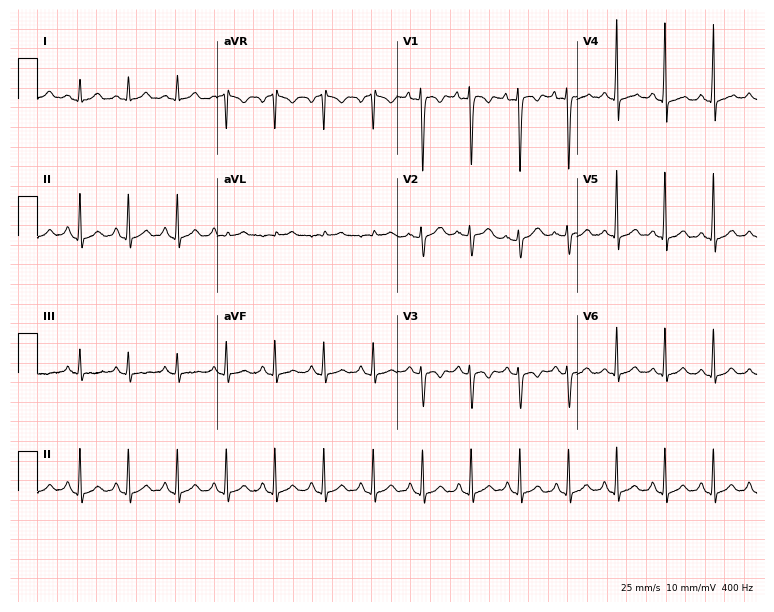
ECG — a 22-year-old female. Screened for six findings — first-degree AV block, right bundle branch block, left bundle branch block, sinus bradycardia, atrial fibrillation, sinus tachycardia — none is recorded. Other findings, if any, are not listed.